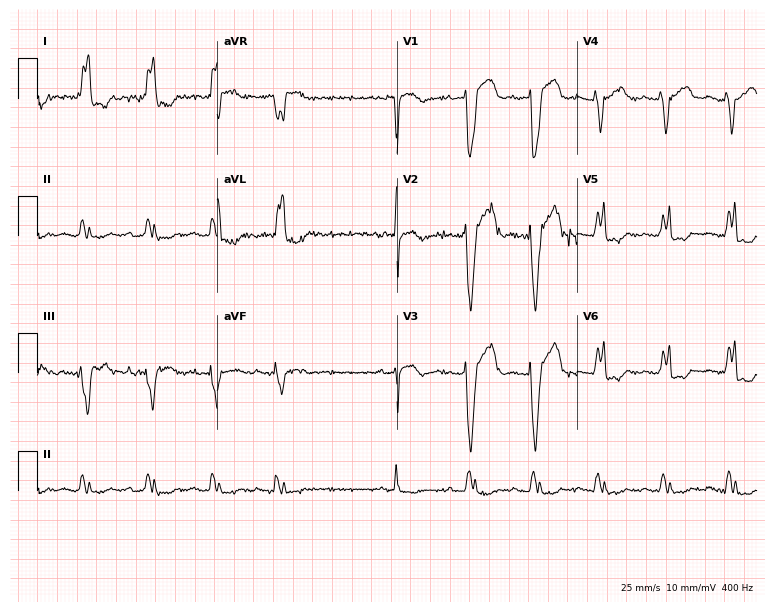
Standard 12-lead ECG recorded from a woman, 82 years old. None of these six findings is recorded: first-degree AV block, right bundle branch block (RBBB), left bundle branch block (LBBB), sinus bradycardia, atrial fibrillation (AF), sinus tachycardia.